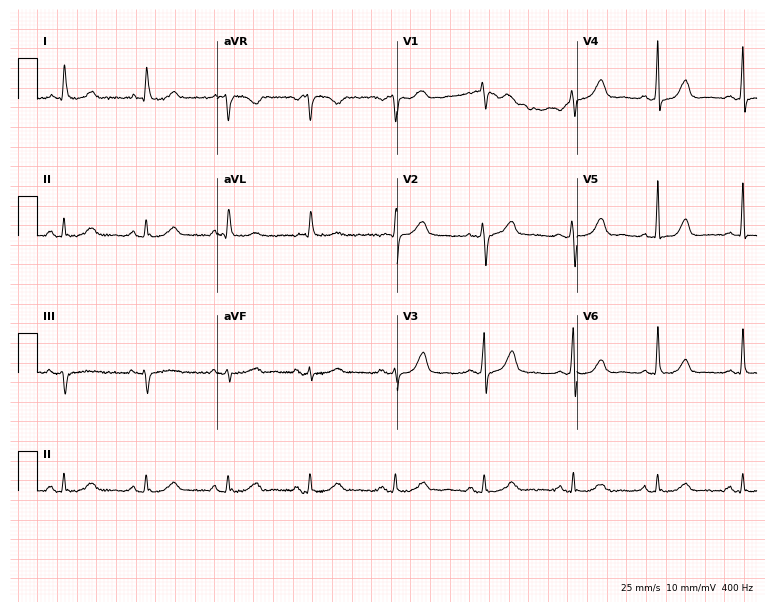
Standard 12-lead ECG recorded from a woman, 66 years old (7.3-second recording at 400 Hz). Read as a normal ECG.